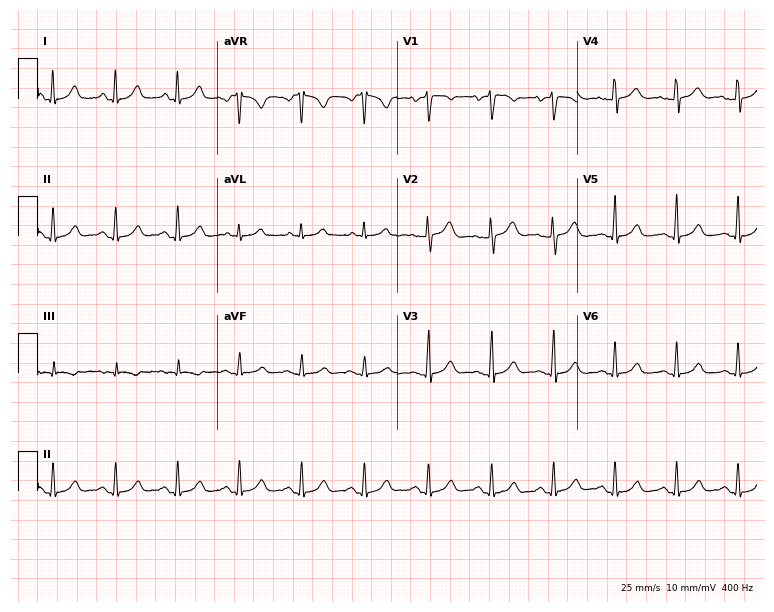
Resting 12-lead electrocardiogram (7.3-second recording at 400 Hz). Patient: a female, 51 years old. Read as a normal ECG.